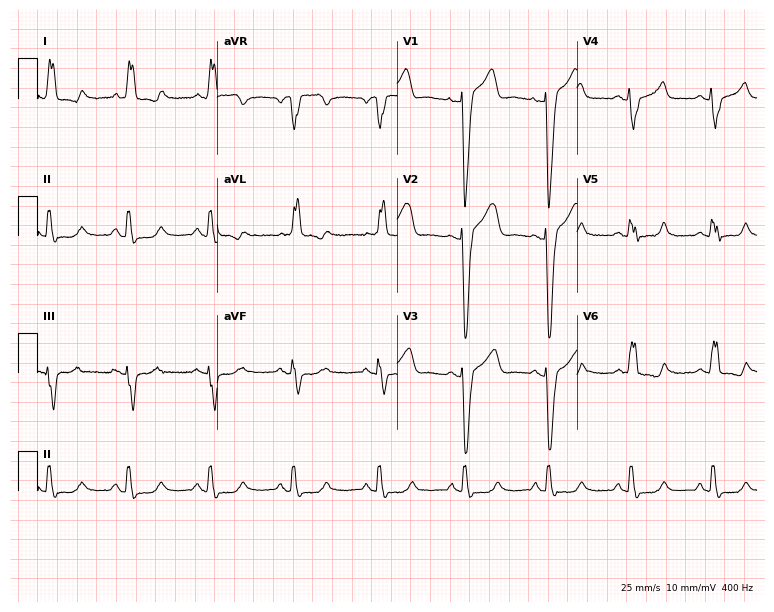
Electrocardiogram (7.3-second recording at 400 Hz), a female patient, 55 years old. Interpretation includes left bundle branch block (LBBB).